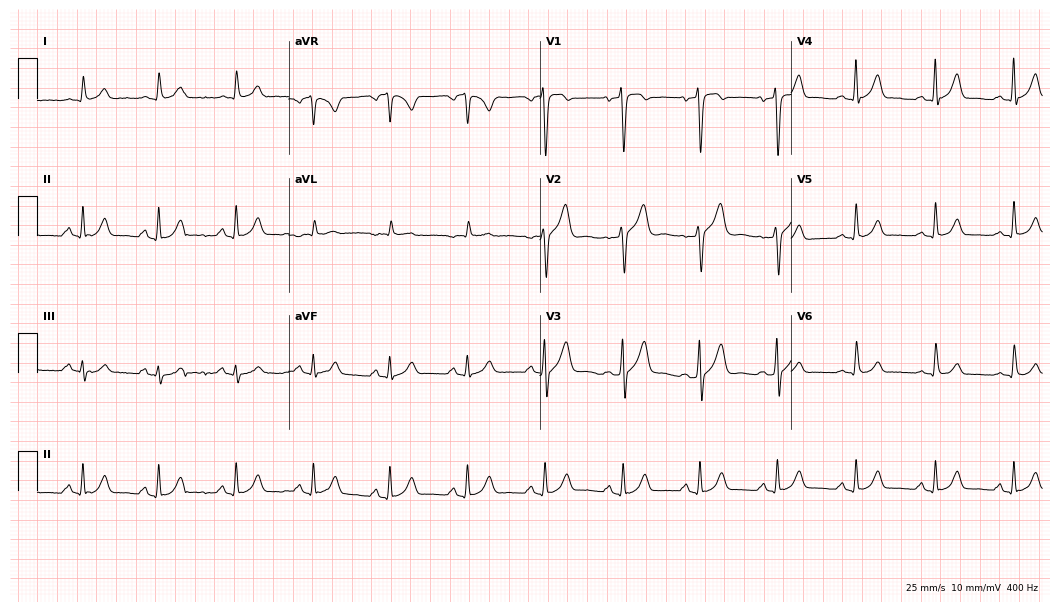
Resting 12-lead electrocardiogram. Patient: a 47-year-old man. Read as a normal ECG.